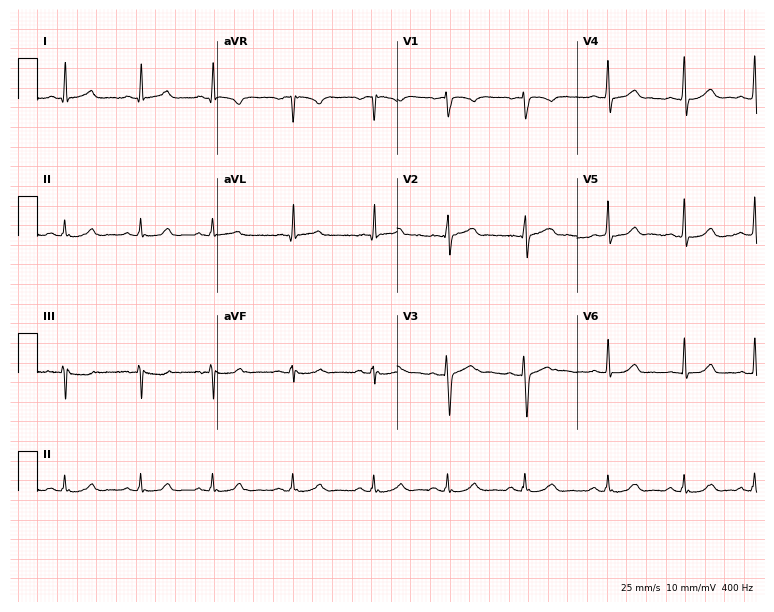
ECG — a 32-year-old female. Labelled as a normal ECG.